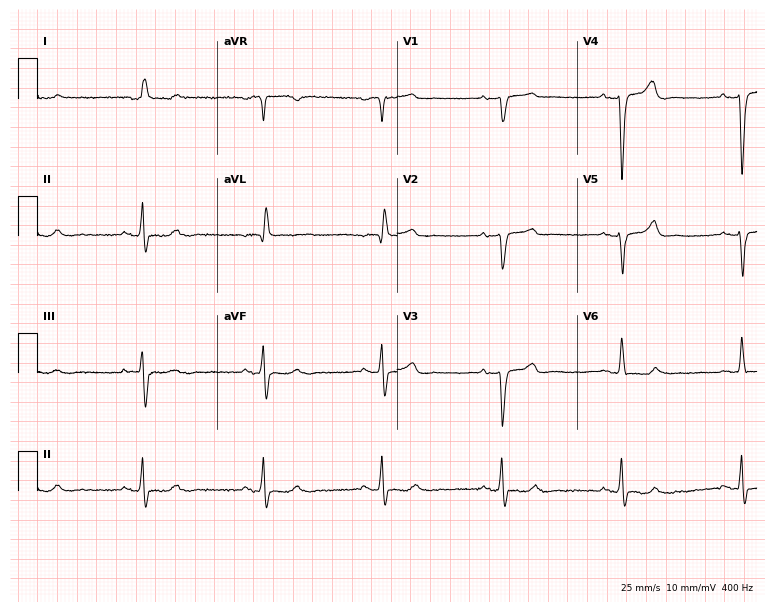
12-lead ECG from a woman, 81 years old (7.3-second recording at 400 Hz). Shows right bundle branch block.